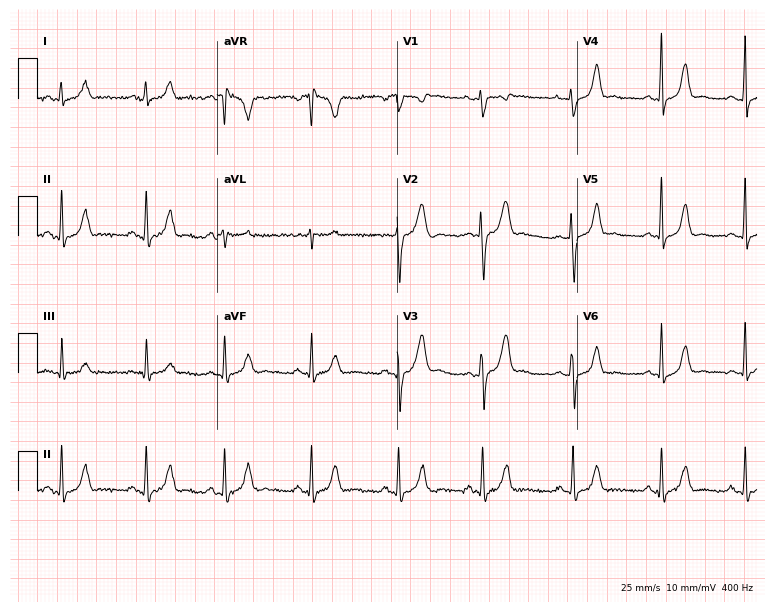
12-lead ECG from a 22-year-old female. Screened for six findings — first-degree AV block, right bundle branch block (RBBB), left bundle branch block (LBBB), sinus bradycardia, atrial fibrillation (AF), sinus tachycardia — none is recorded.